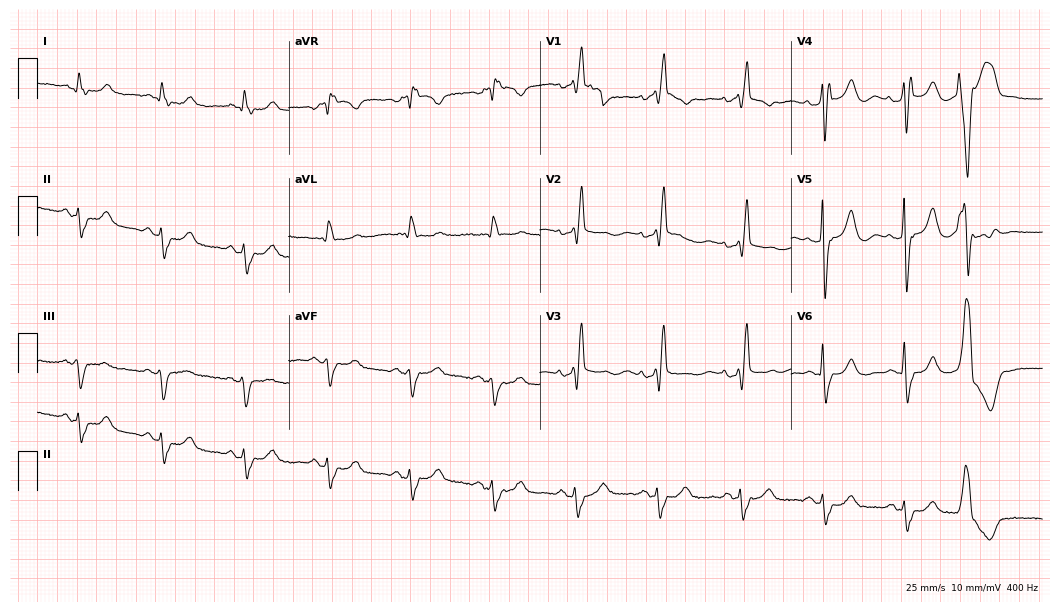
12-lead ECG from a 73-year-old male. Shows right bundle branch block (RBBB).